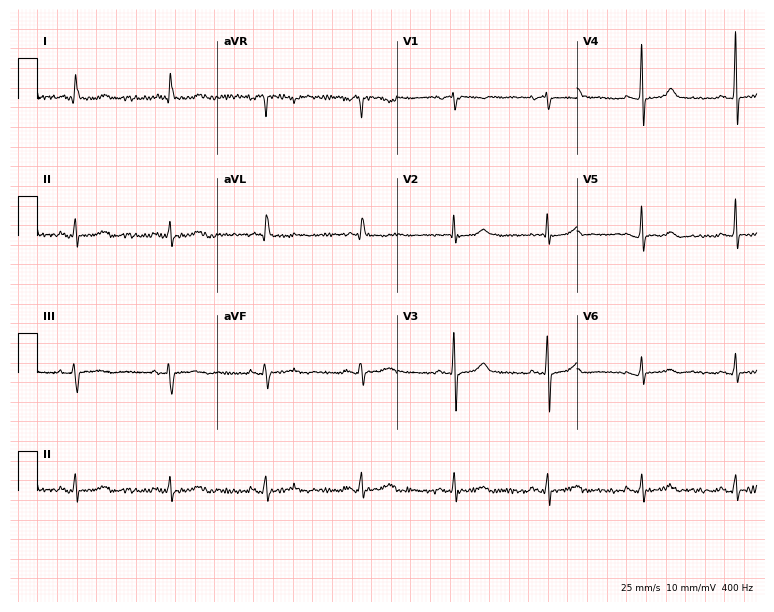
Resting 12-lead electrocardiogram. Patient: a 69-year-old woman. None of these six findings is recorded: first-degree AV block, right bundle branch block, left bundle branch block, sinus bradycardia, atrial fibrillation, sinus tachycardia. Other findings, if any, are not listed.